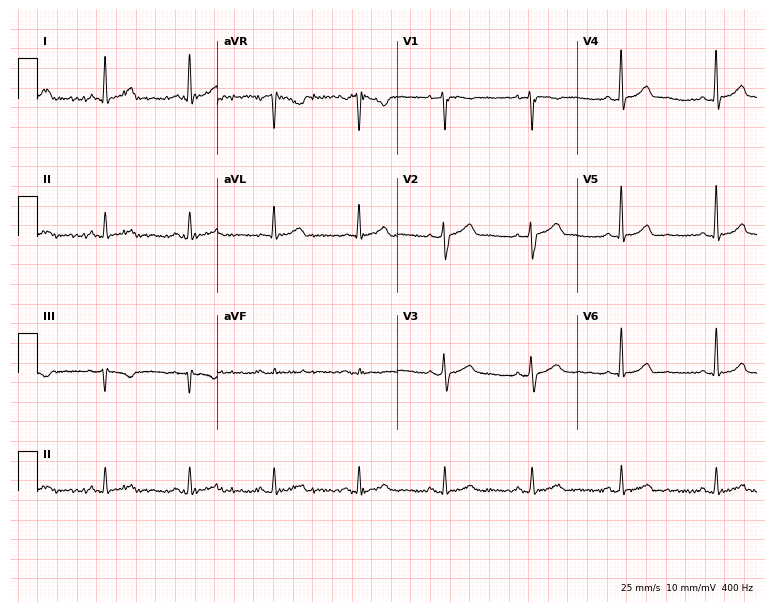
12-lead ECG from a 52-year-old woman. No first-degree AV block, right bundle branch block, left bundle branch block, sinus bradycardia, atrial fibrillation or sinus tachycardia recorded for this tracing.